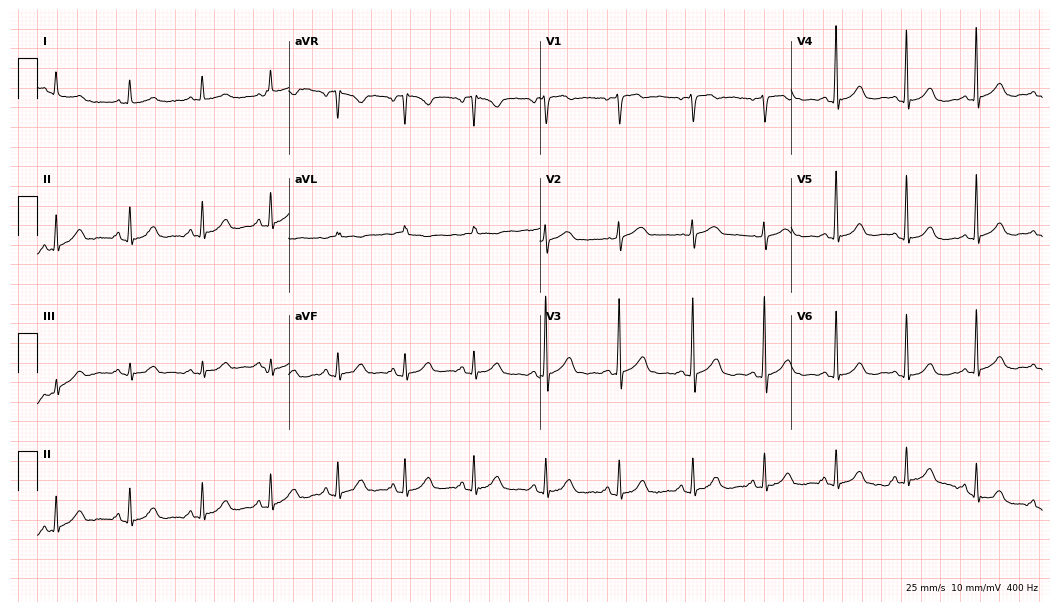
12-lead ECG from a female patient, 60 years old. Recorded interpretation: within normal limits.